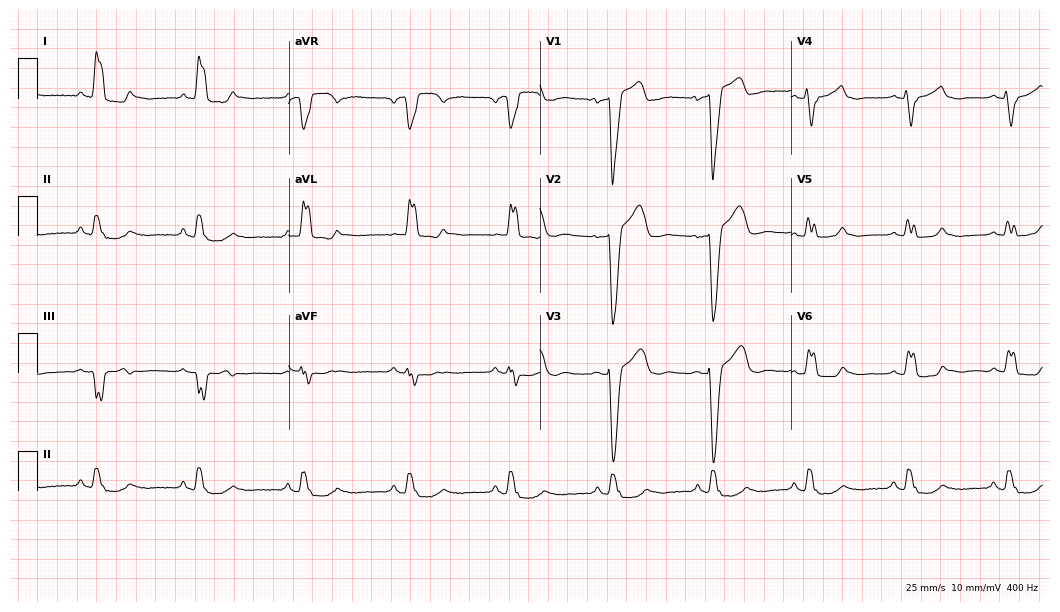
Electrocardiogram (10.2-second recording at 400 Hz), a 56-year-old woman. Interpretation includes left bundle branch block.